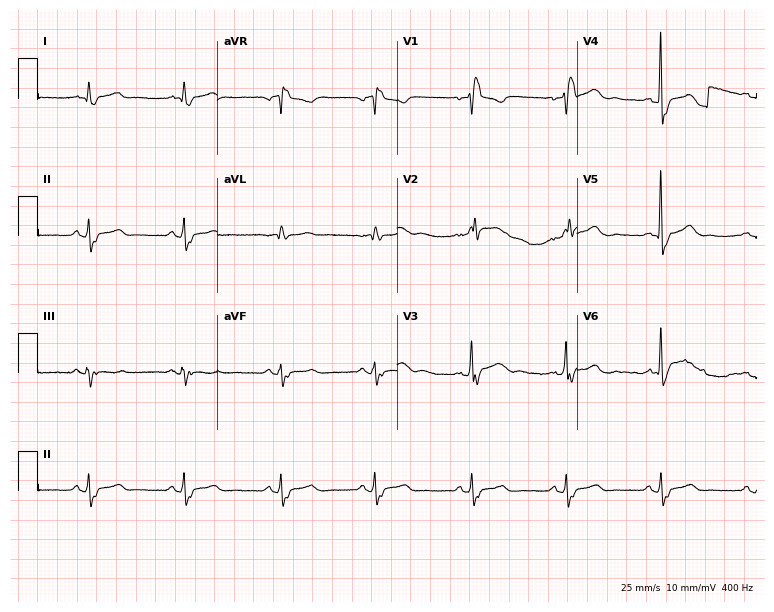
Resting 12-lead electrocardiogram. Patient: a 60-year-old male. The tracing shows right bundle branch block.